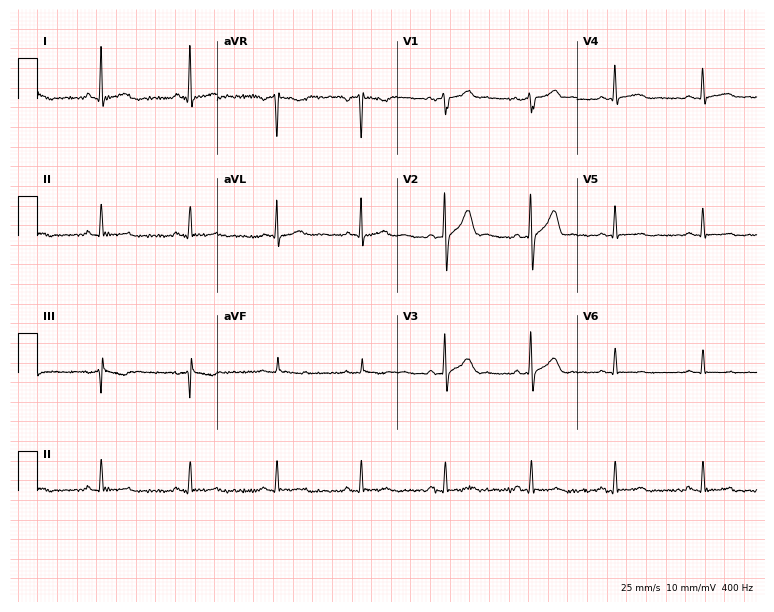
Resting 12-lead electrocardiogram. Patient: a male, 53 years old. None of these six findings is recorded: first-degree AV block, right bundle branch block, left bundle branch block, sinus bradycardia, atrial fibrillation, sinus tachycardia.